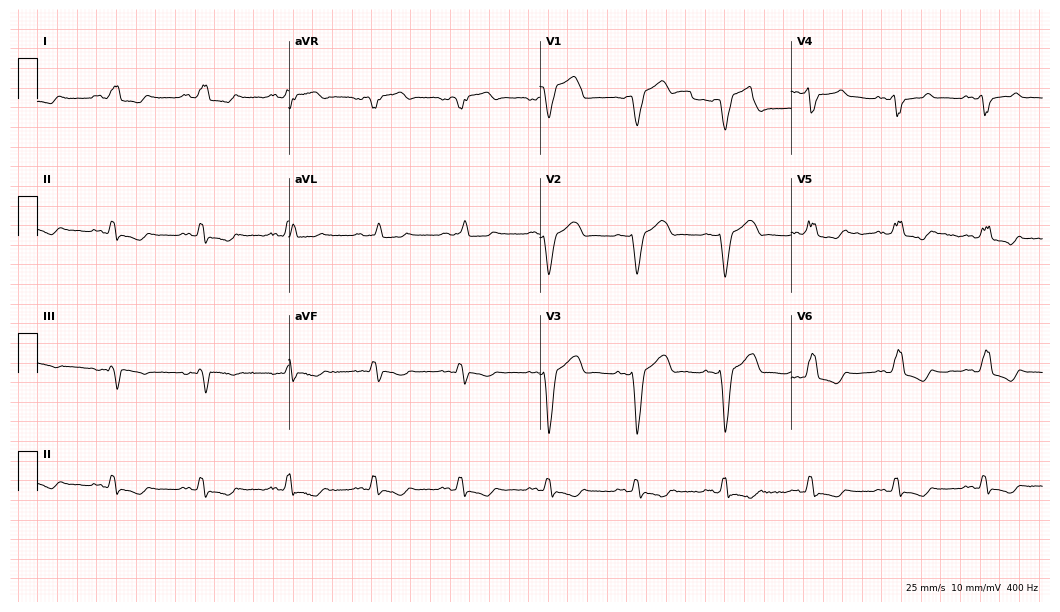
Standard 12-lead ECG recorded from a male, 79 years old (10.2-second recording at 400 Hz). The tracing shows left bundle branch block.